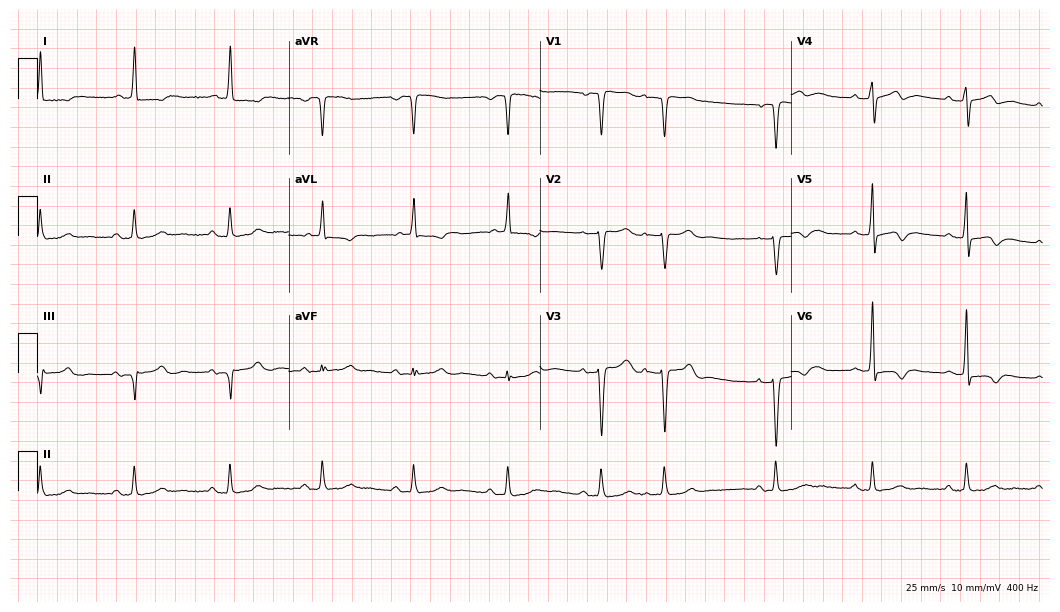
Electrocardiogram (10.2-second recording at 400 Hz), a woman, 70 years old. Of the six screened findings (first-degree AV block, right bundle branch block (RBBB), left bundle branch block (LBBB), sinus bradycardia, atrial fibrillation (AF), sinus tachycardia), none is recorded.